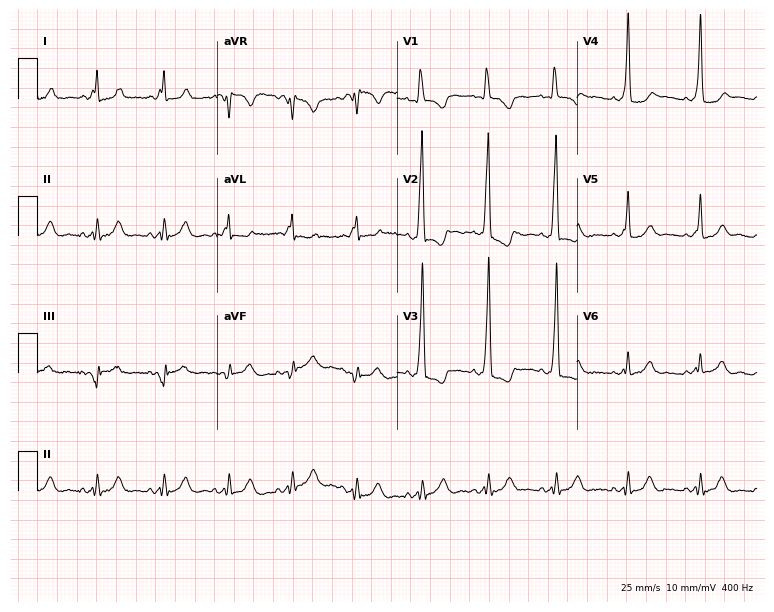
ECG — a female, 35 years old. Screened for six findings — first-degree AV block, right bundle branch block (RBBB), left bundle branch block (LBBB), sinus bradycardia, atrial fibrillation (AF), sinus tachycardia — none is recorded.